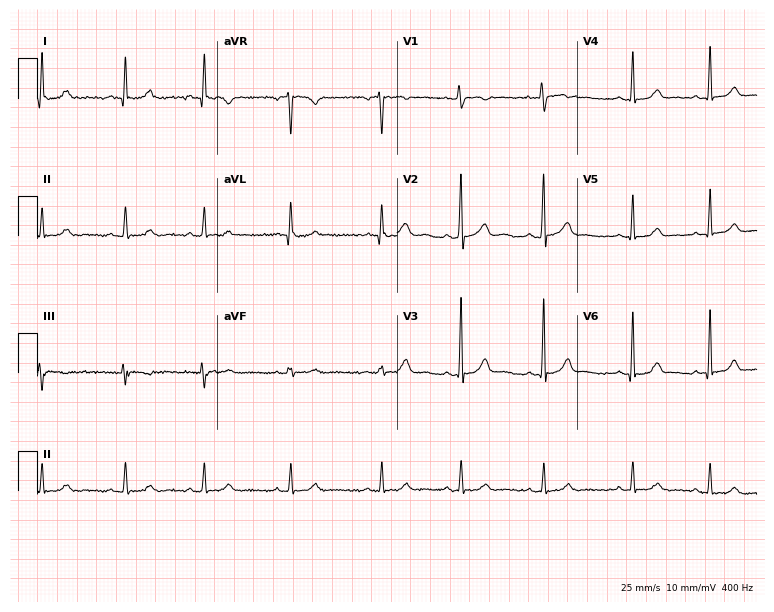
Electrocardiogram (7.3-second recording at 400 Hz), a 23-year-old woman. Of the six screened findings (first-degree AV block, right bundle branch block, left bundle branch block, sinus bradycardia, atrial fibrillation, sinus tachycardia), none is recorded.